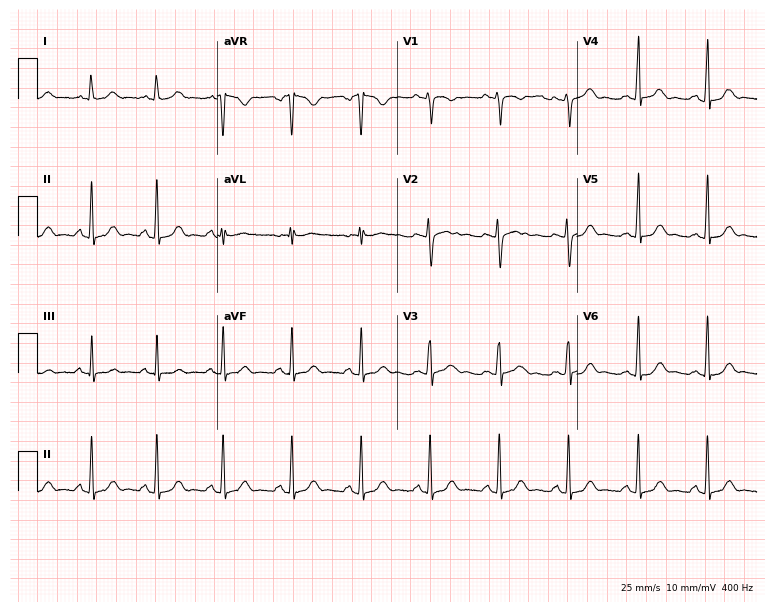
Standard 12-lead ECG recorded from a 21-year-old woman. Read as a normal ECG.